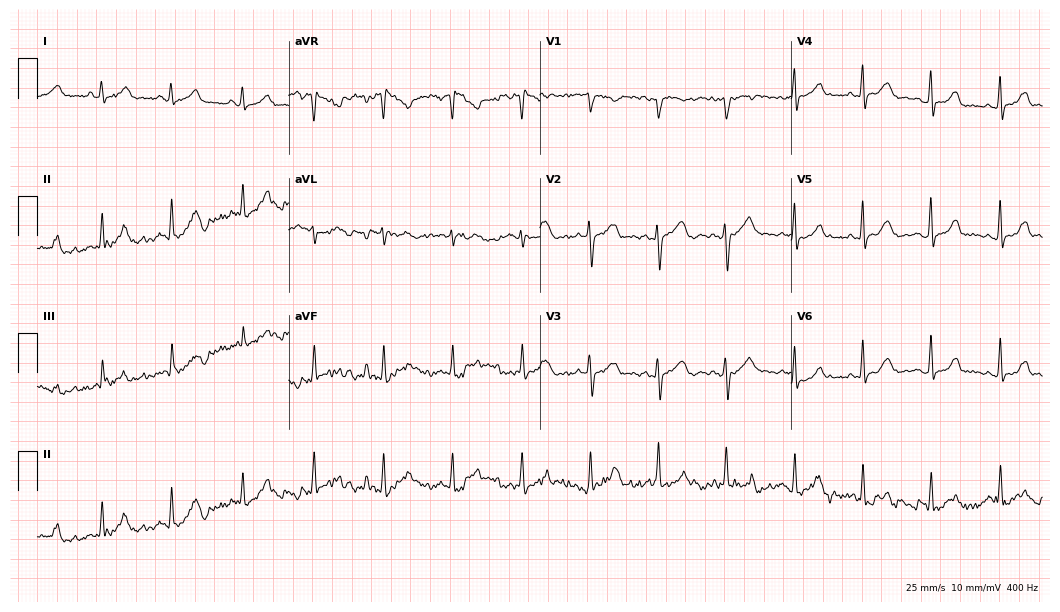
12-lead ECG (10.2-second recording at 400 Hz) from a 29-year-old woman. Labelled as a normal ECG.